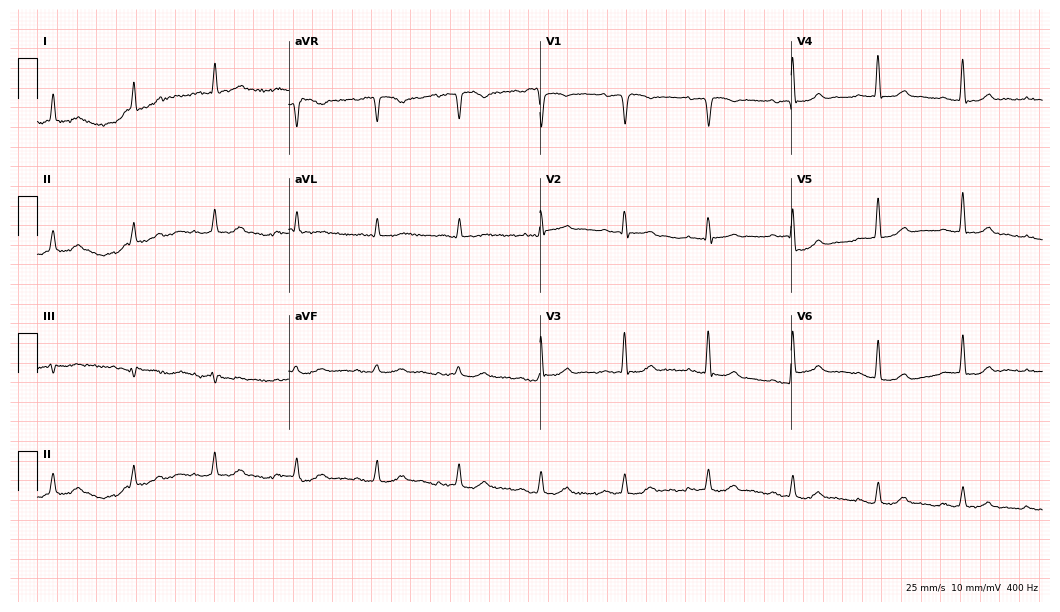
Electrocardiogram, a 78-year-old man. Of the six screened findings (first-degree AV block, right bundle branch block (RBBB), left bundle branch block (LBBB), sinus bradycardia, atrial fibrillation (AF), sinus tachycardia), none is recorded. Other findings, if any, are not listed.